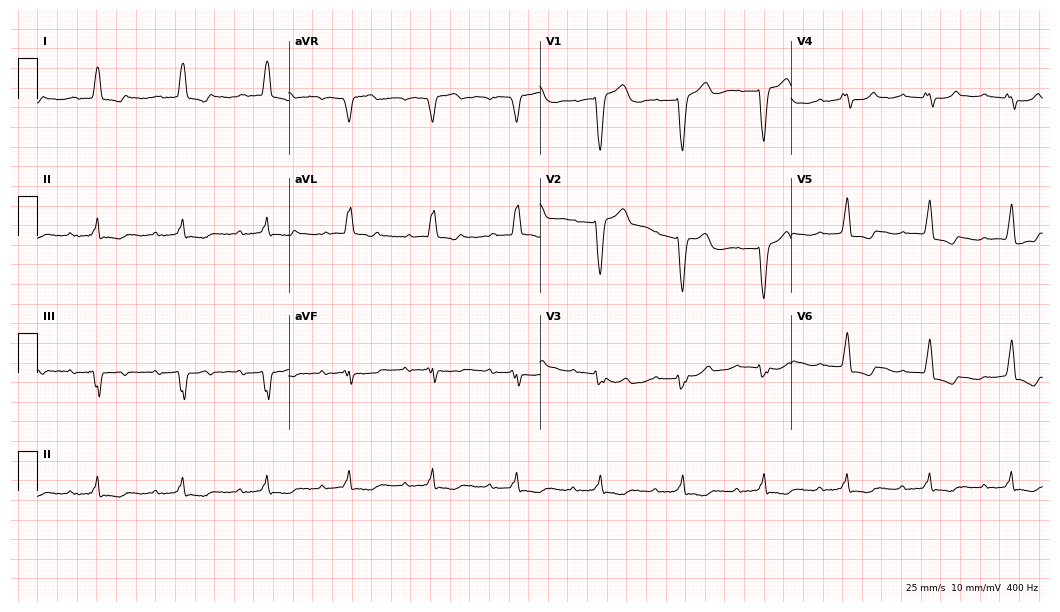
Standard 12-lead ECG recorded from an 80-year-old woman. The tracing shows first-degree AV block, left bundle branch block.